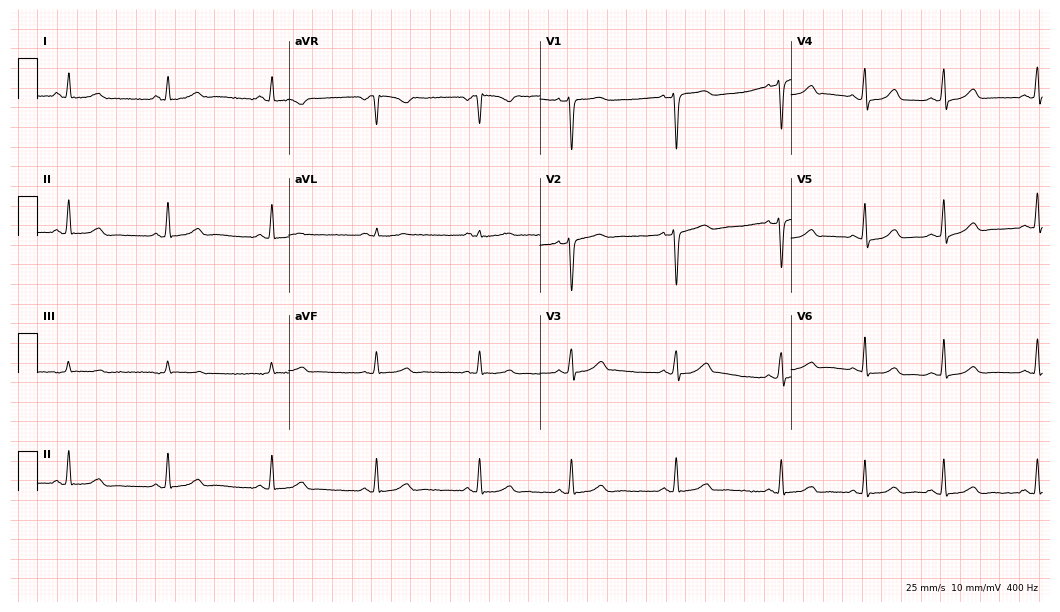
Resting 12-lead electrocardiogram. Patient: a 28-year-old female. Read as a normal ECG.